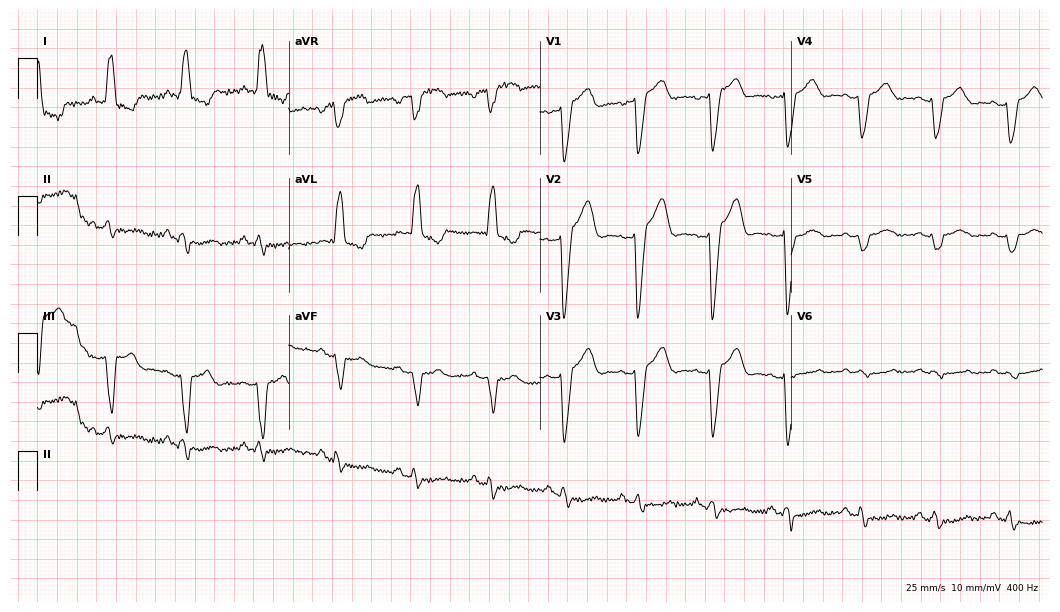
Resting 12-lead electrocardiogram. Patient: a 58-year-old female. The tracing shows left bundle branch block.